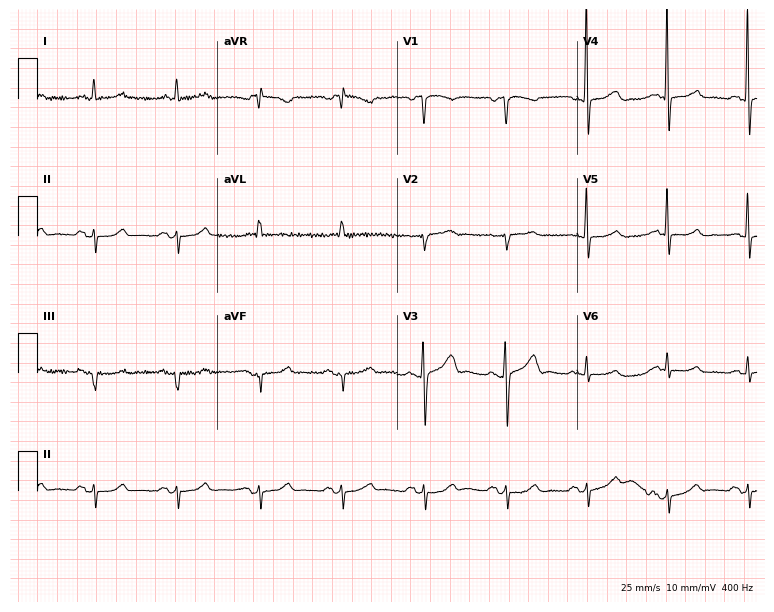
12-lead ECG from a 67-year-old man. No first-degree AV block, right bundle branch block, left bundle branch block, sinus bradycardia, atrial fibrillation or sinus tachycardia recorded for this tracing. Findings outside these six are not listed.